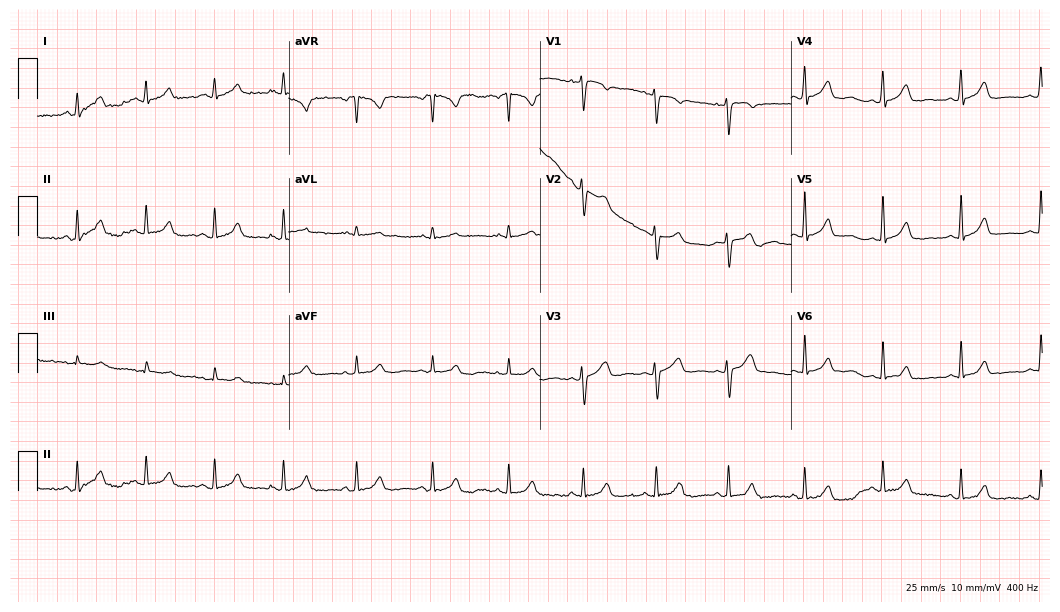
ECG (10.2-second recording at 400 Hz) — a 35-year-old female patient. Labelled as a normal ECG.